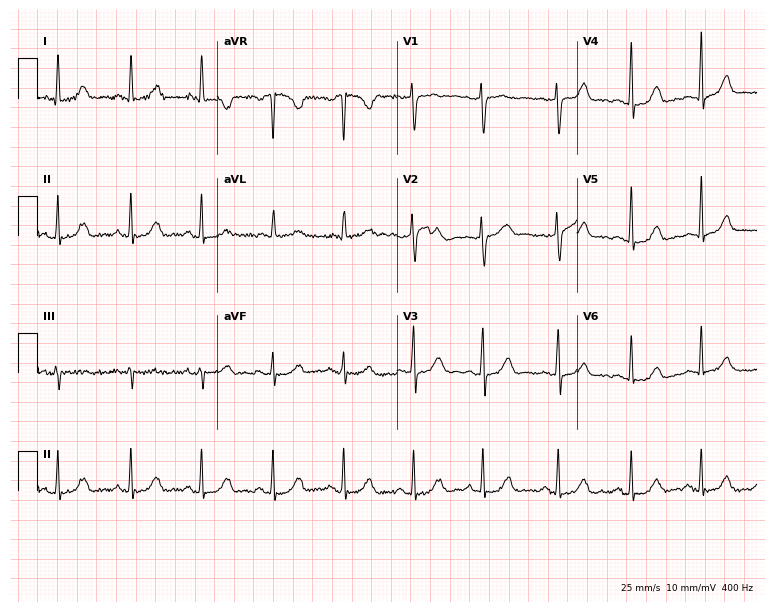
ECG (7.3-second recording at 400 Hz) — a 51-year-old woman. Labelled as a normal ECG.